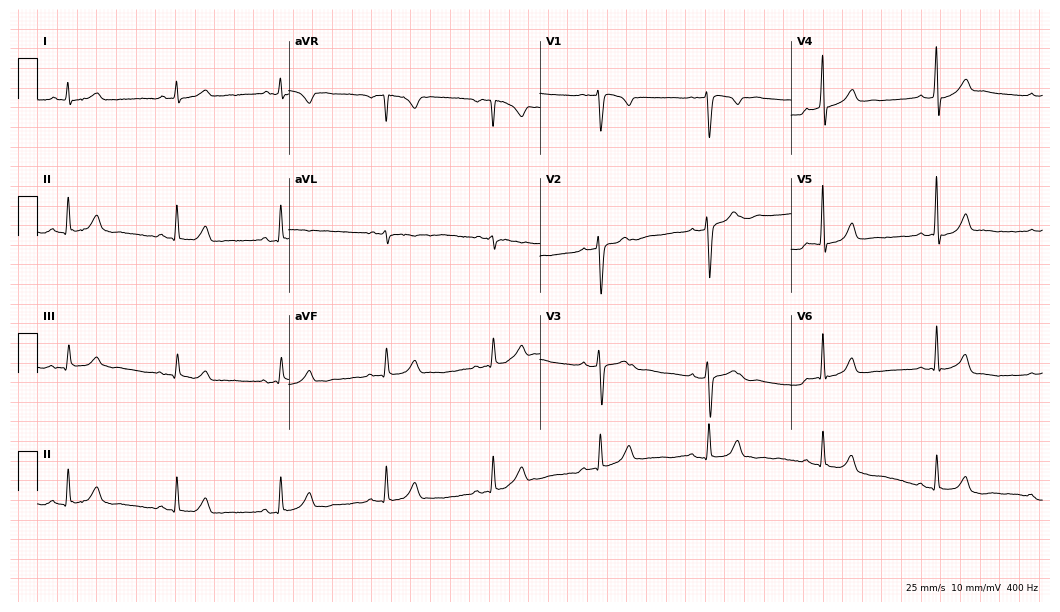
Standard 12-lead ECG recorded from a 40-year-old man (10.2-second recording at 400 Hz). None of these six findings is recorded: first-degree AV block, right bundle branch block, left bundle branch block, sinus bradycardia, atrial fibrillation, sinus tachycardia. Other findings, if any, are not listed.